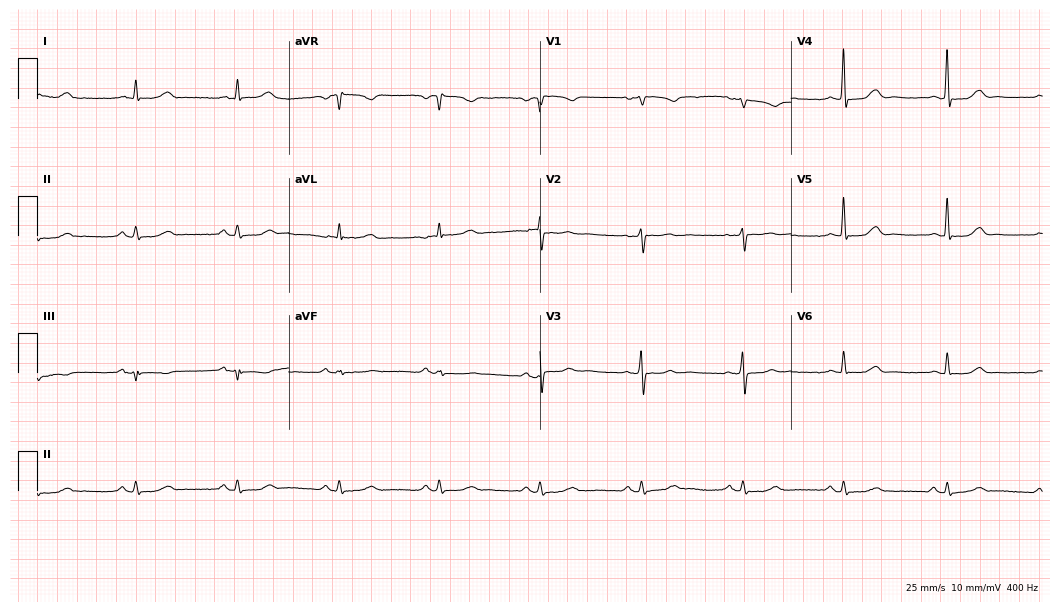
12-lead ECG from a female patient, 77 years old. Recorded interpretation: within normal limits.